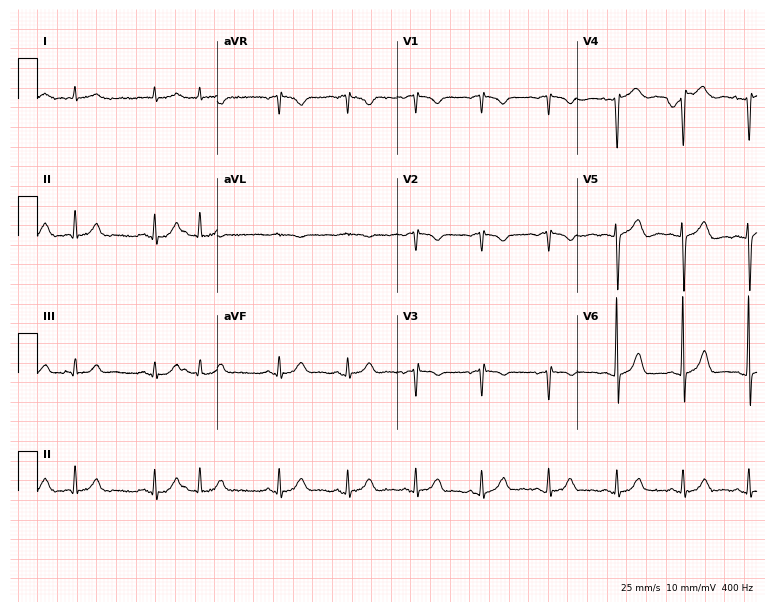
12-lead ECG from a 79-year-old female. Recorded interpretation: within normal limits.